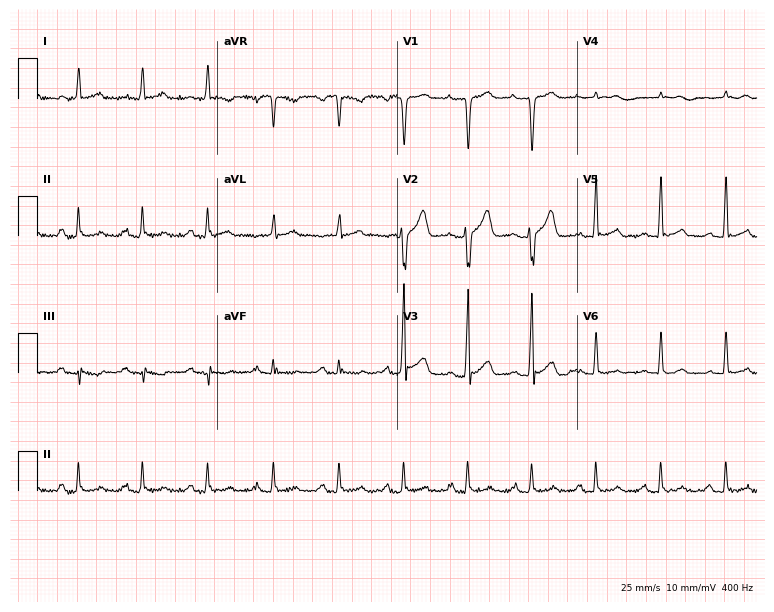
Standard 12-lead ECG recorded from a male patient, 29 years old (7.3-second recording at 400 Hz). None of these six findings is recorded: first-degree AV block, right bundle branch block, left bundle branch block, sinus bradycardia, atrial fibrillation, sinus tachycardia.